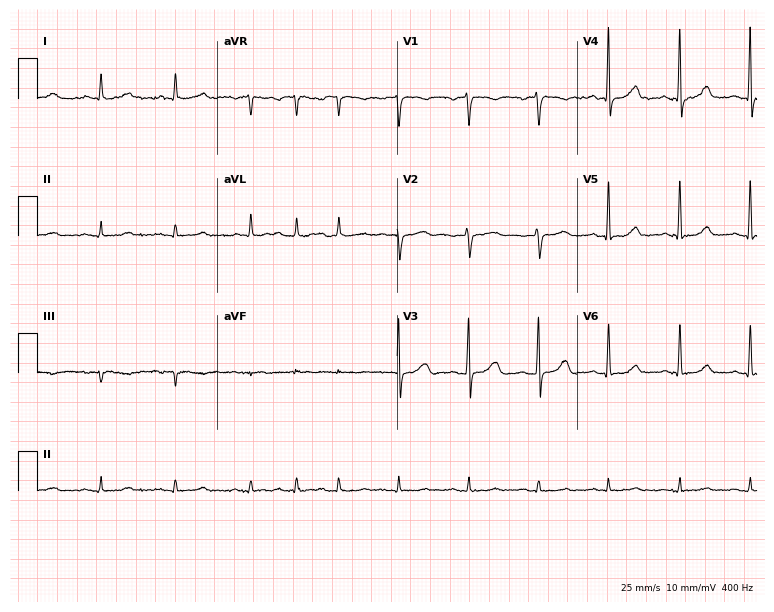
Electrocardiogram (7.3-second recording at 400 Hz), a woman, 73 years old. Of the six screened findings (first-degree AV block, right bundle branch block (RBBB), left bundle branch block (LBBB), sinus bradycardia, atrial fibrillation (AF), sinus tachycardia), none is recorded.